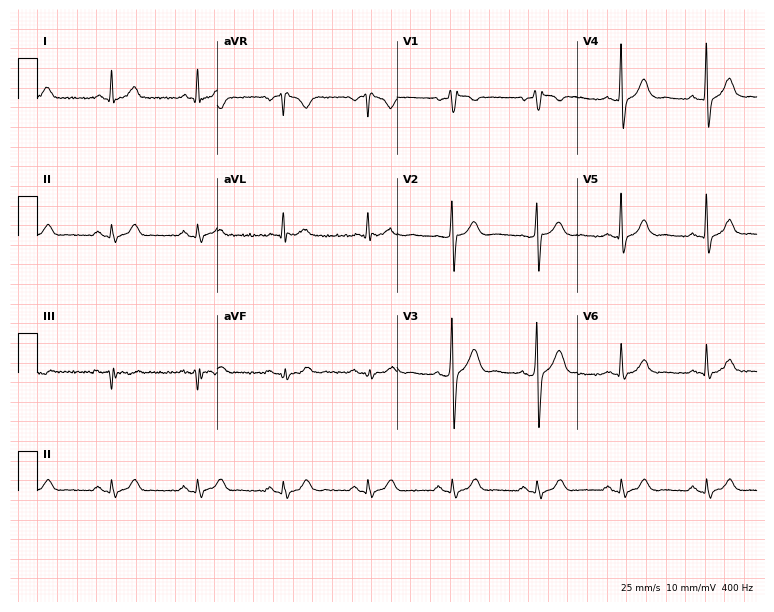
Resting 12-lead electrocardiogram. Patient: a 62-year-old man. Read as a normal ECG.